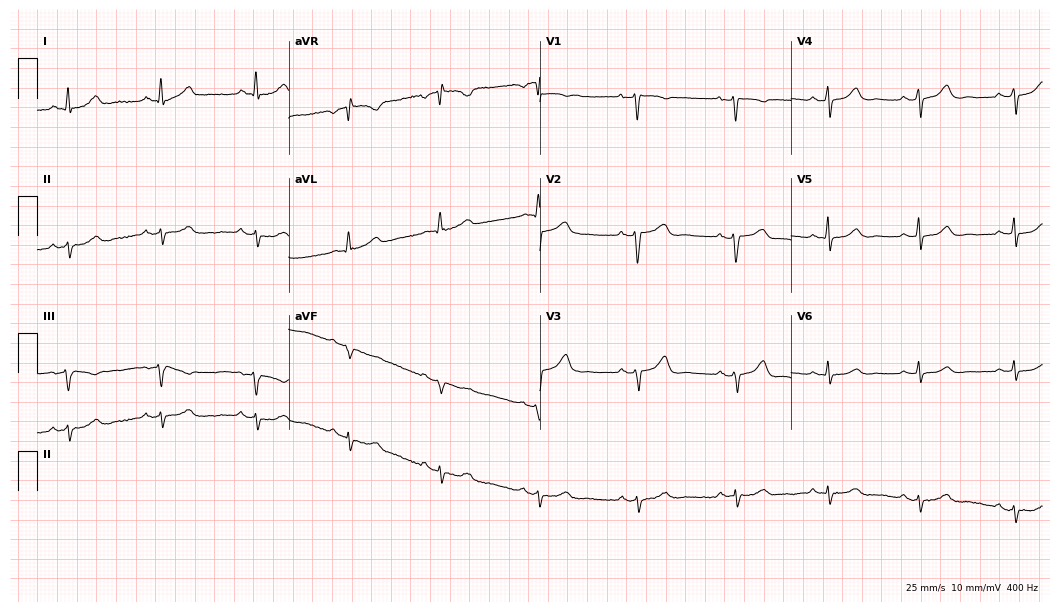
12-lead ECG from a female patient, 47 years old. No first-degree AV block, right bundle branch block, left bundle branch block, sinus bradycardia, atrial fibrillation or sinus tachycardia recorded for this tracing. Findings outside these six are not listed.